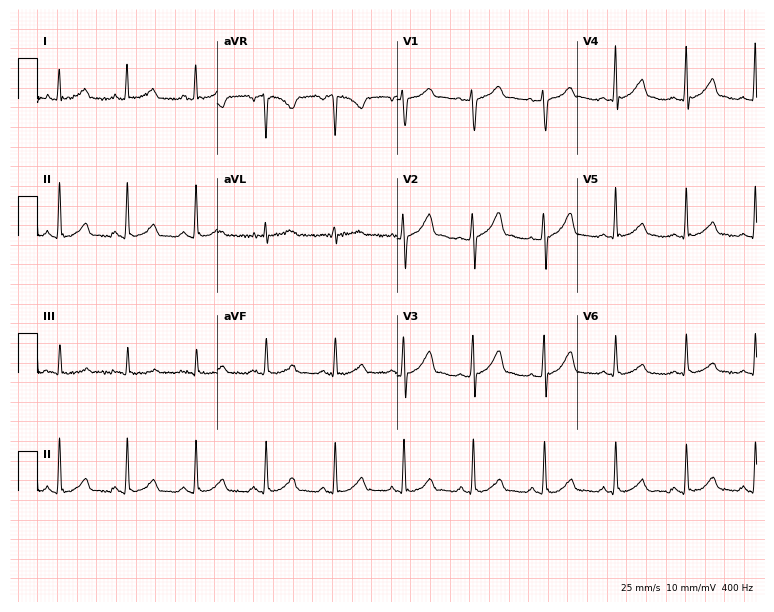
Standard 12-lead ECG recorded from a female patient, 40 years old. Read as a normal ECG.